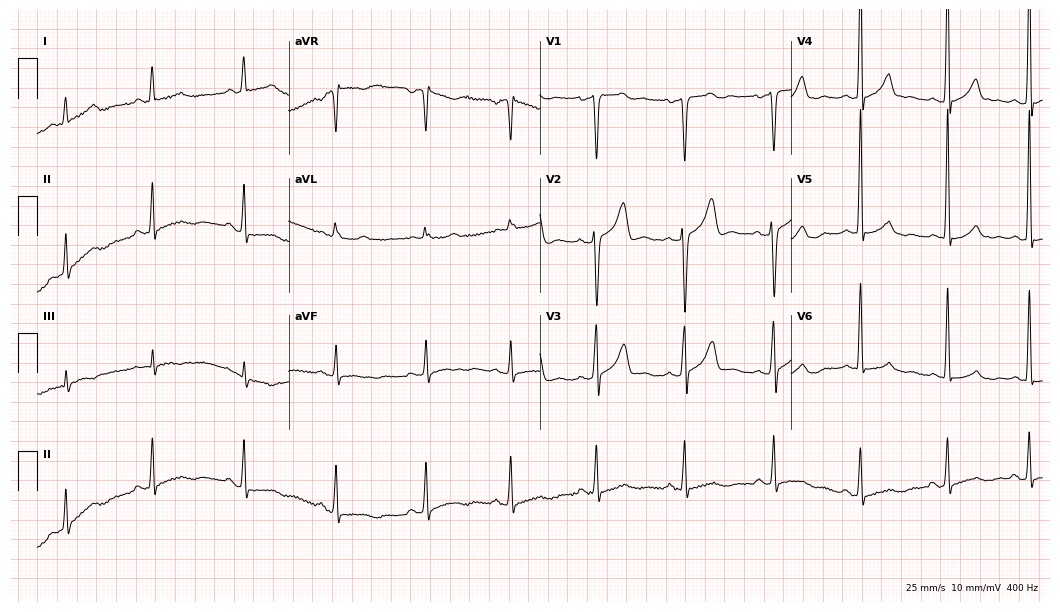
Resting 12-lead electrocardiogram (10.2-second recording at 400 Hz). Patient: a 29-year-old male. None of these six findings is recorded: first-degree AV block, right bundle branch block, left bundle branch block, sinus bradycardia, atrial fibrillation, sinus tachycardia.